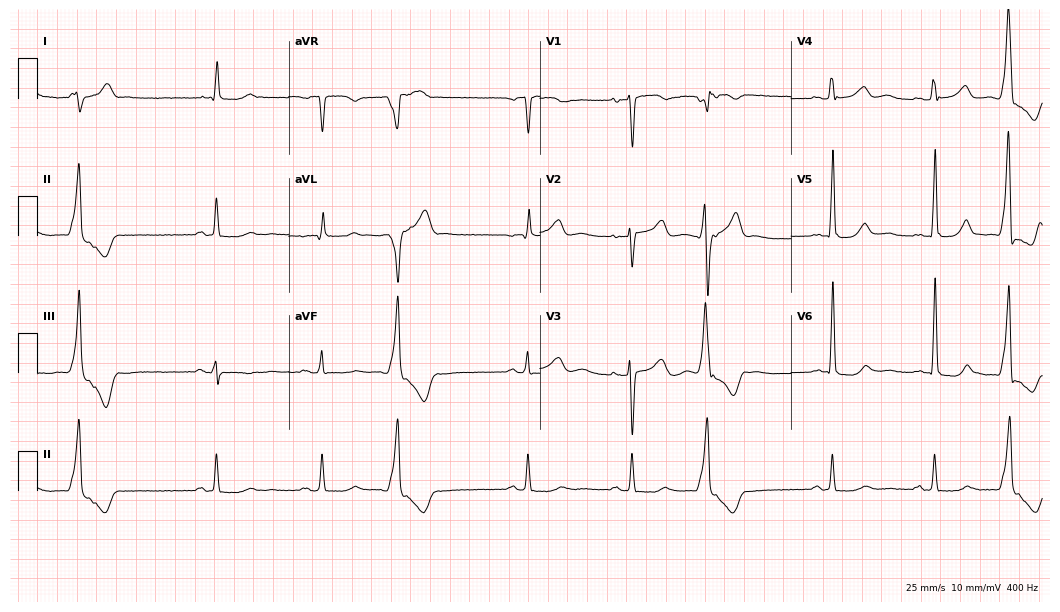
12-lead ECG from an 81-year-old male patient. Recorded interpretation: within normal limits.